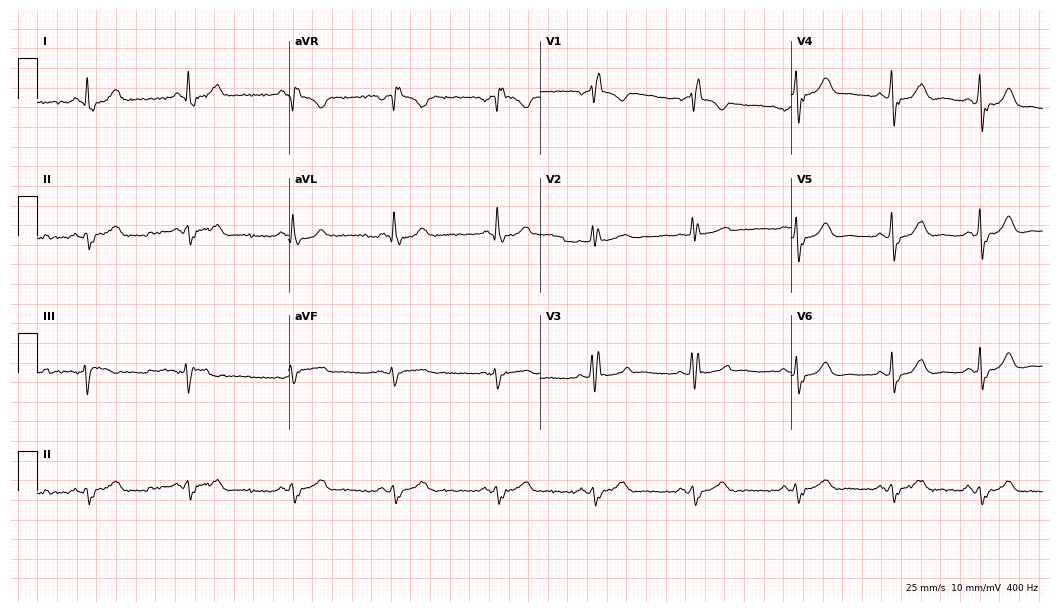
Standard 12-lead ECG recorded from a woman, 72 years old. The tracing shows right bundle branch block.